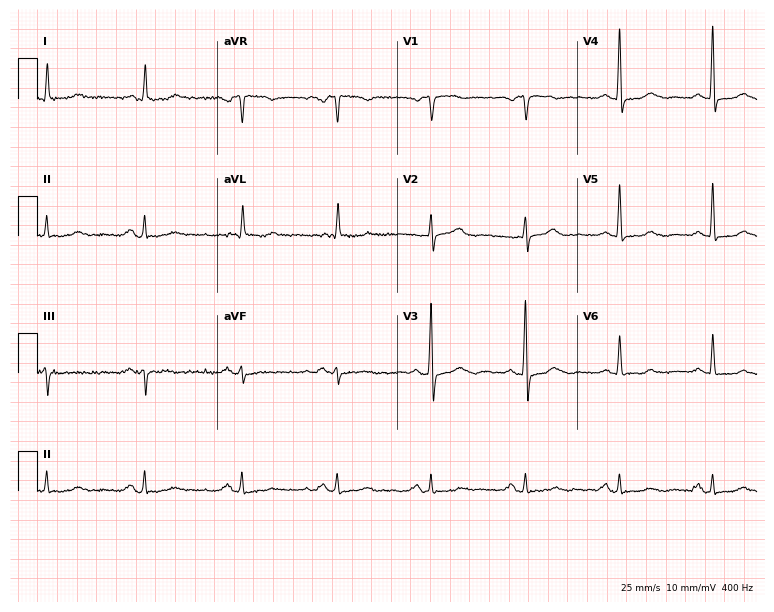
12-lead ECG (7.3-second recording at 400 Hz) from a 54-year-old man. Screened for six findings — first-degree AV block, right bundle branch block, left bundle branch block, sinus bradycardia, atrial fibrillation, sinus tachycardia — none is recorded.